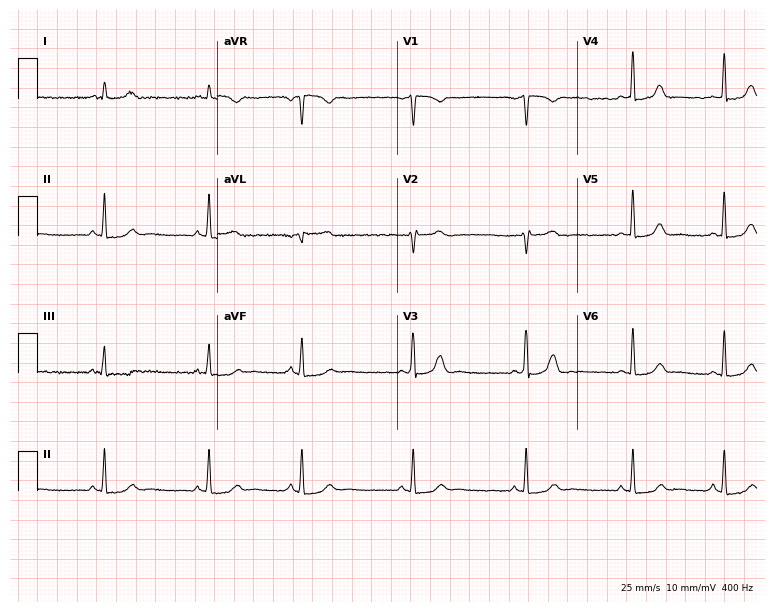
Resting 12-lead electrocardiogram (7.3-second recording at 400 Hz). Patient: a 31-year-old female. None of these six findings is recorded: first-degree AV block, right bundle branch block, left bundle branch block, sinus bradycardia, atrial fibrillation, sinus tachycardia.